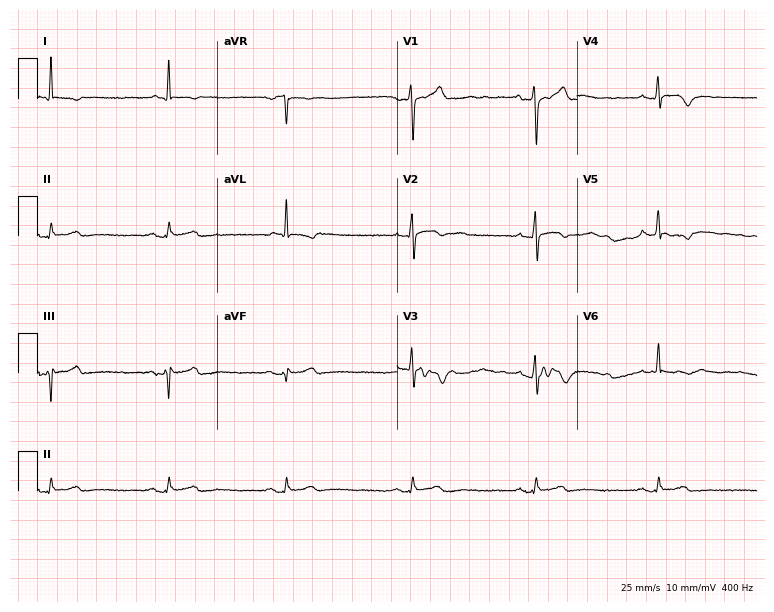
ECG — a male, 60 years old. Findings include sinus bradycardia (a sinus rate of 50 beats per minute or less).